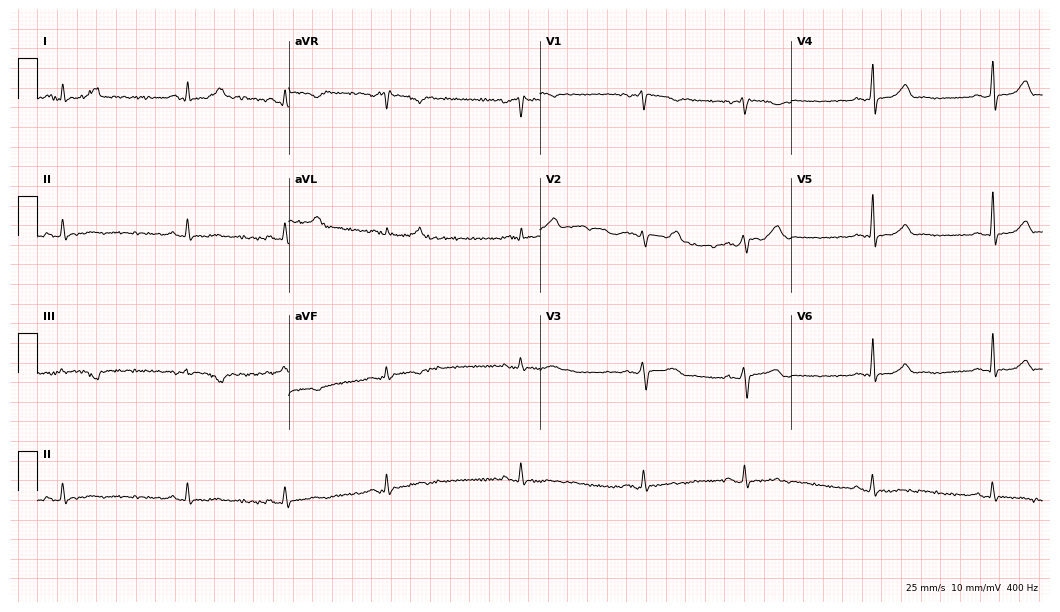
ECG — a 36-year-old female patient. Labelled as a normal ECG.